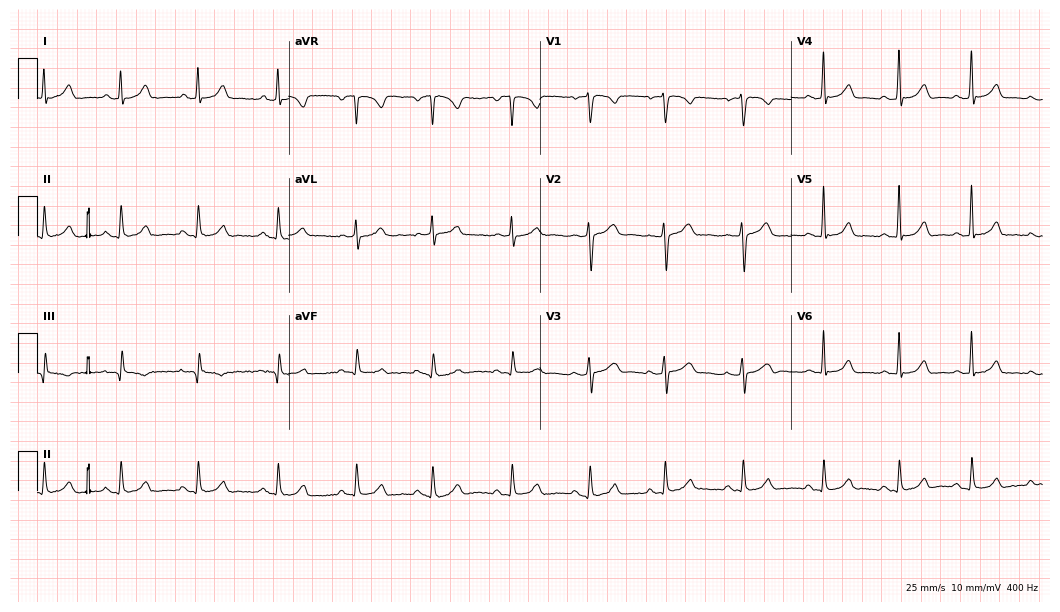
12-lead ECG from a female patient, 34 years old. Recorded interpretation: within normal limits.